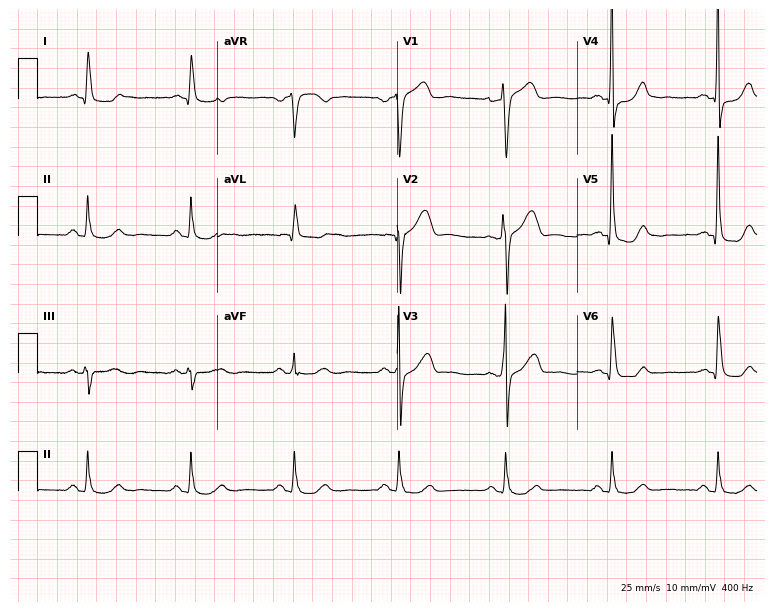
12-lead ECG from a 55-year-old female patient. Screened for six findings — first-degree AV block, right bundle branch block, left bundle branch block, sinus bradycardia, atrial fibrillation, sinus tachycardia — none is recorded. Only these six findings were labelled.